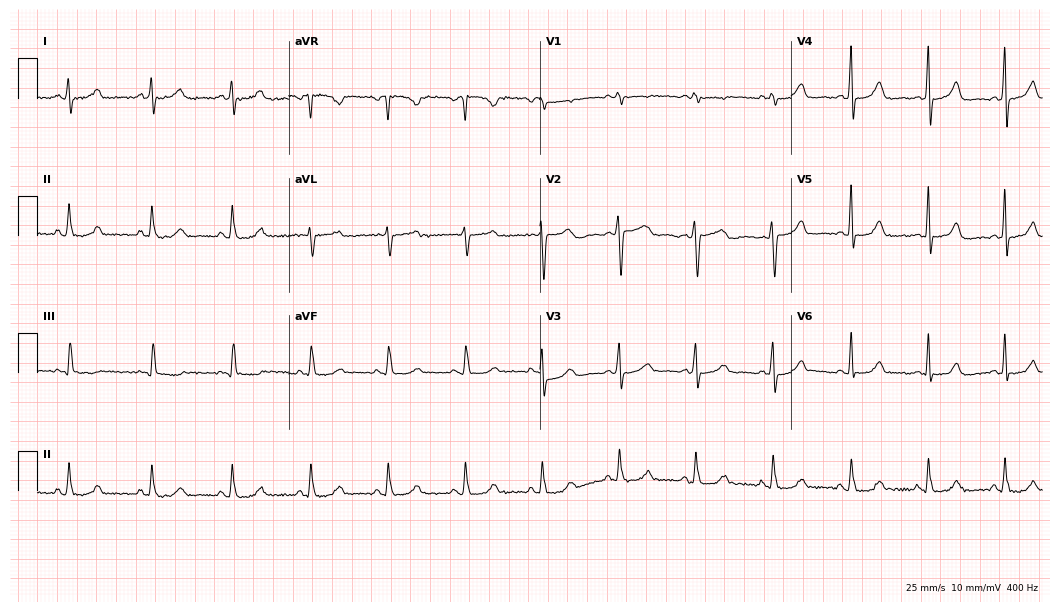
Resting 12-lead electrocardiogram. Patient: a 47-year-old woman. Read as a normal ECG.